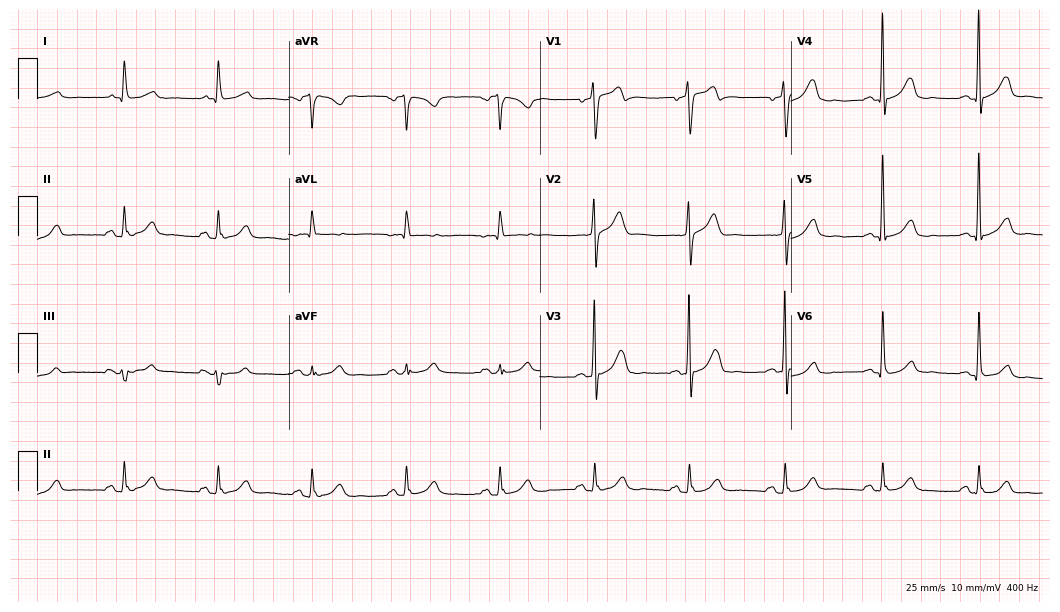
12-lead ECG from a 67-year-old man. Recorded interpretation: within normal limits.